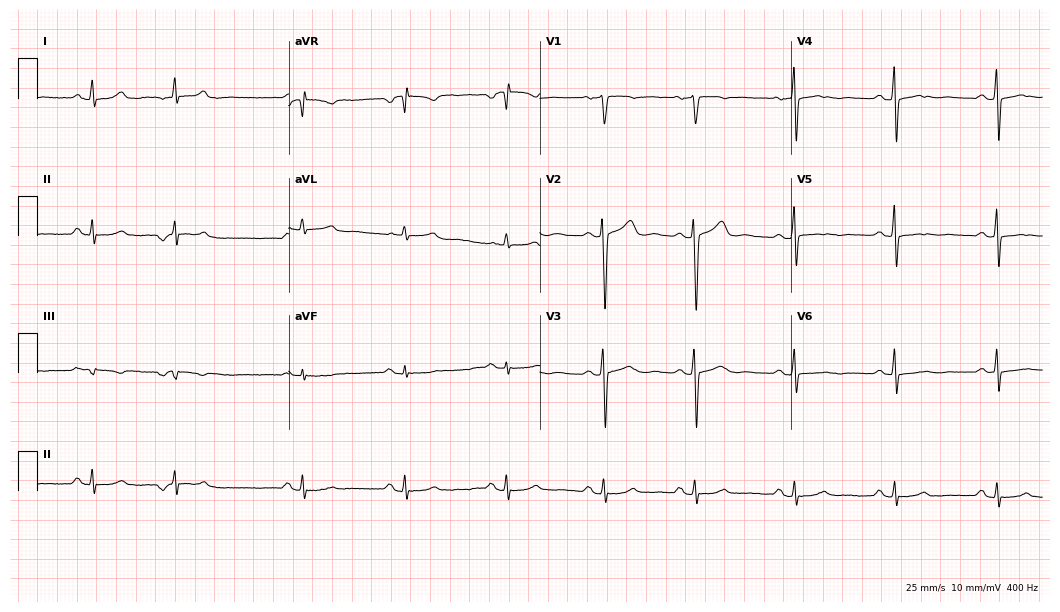
Standard 12-lead ECG recorded from a male patient, 49 years old. None of these six findings is recorded: first-degree AV block, right bundle branch block (RBBB), left bundle branch block (LBBB), sinus bradycardia, atrial fibrillation (AF), sinus tachycardia. Only these six findings were labelled.